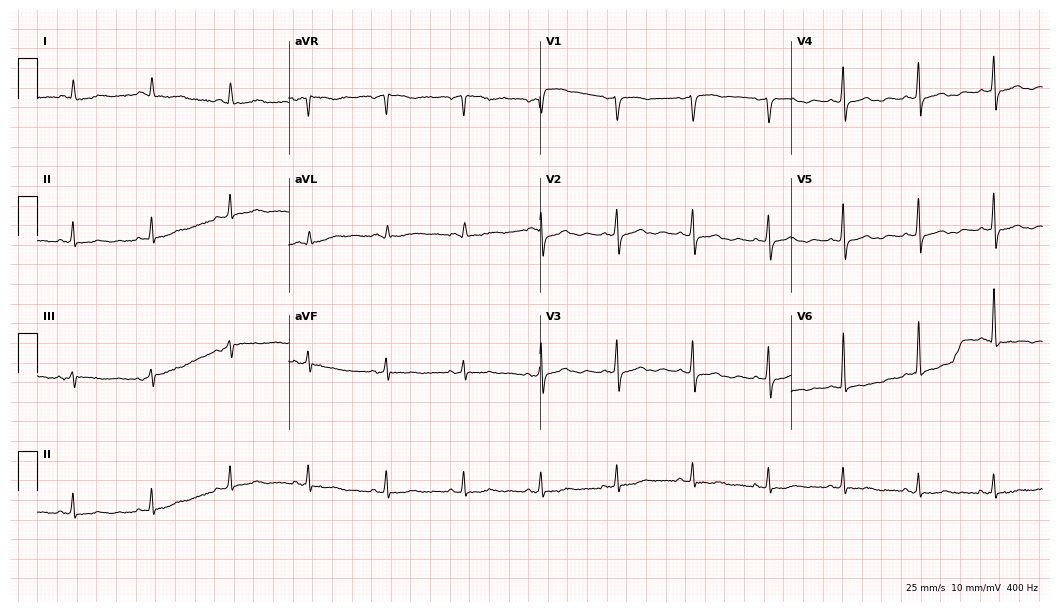
ECG — a 66-year-old woman. Screened for six findings — first-degree AV block, right bundle branch block (RBBB), left bundle branch block (LBBB), sinus bradycardia, atrial fibrillation (AF), sinus tachycardia — none is recorded.